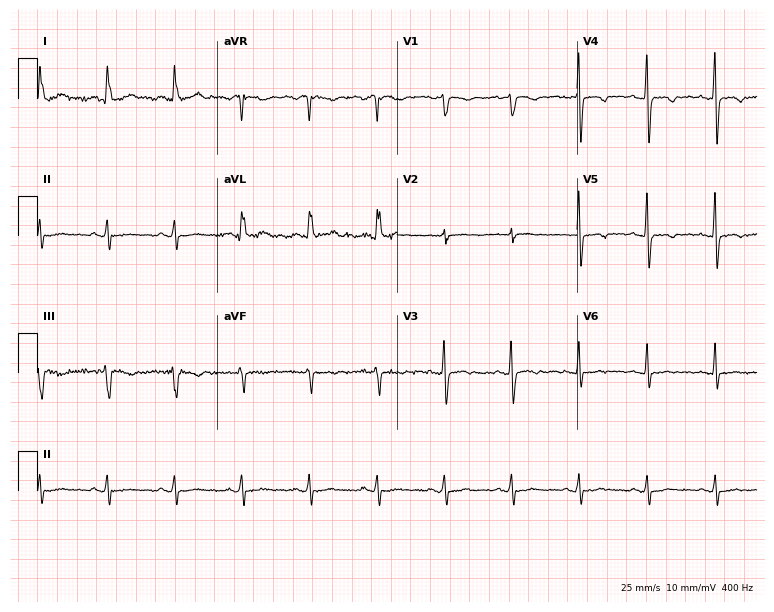
Electrocardiogram, a 43-year-old female patient. Of the six screened findings (first-degree AV block, right bundle branch block, left bundle branch block, sinus bradycardia, atrial fibrillation, sinus tachycardia), none is recorded.